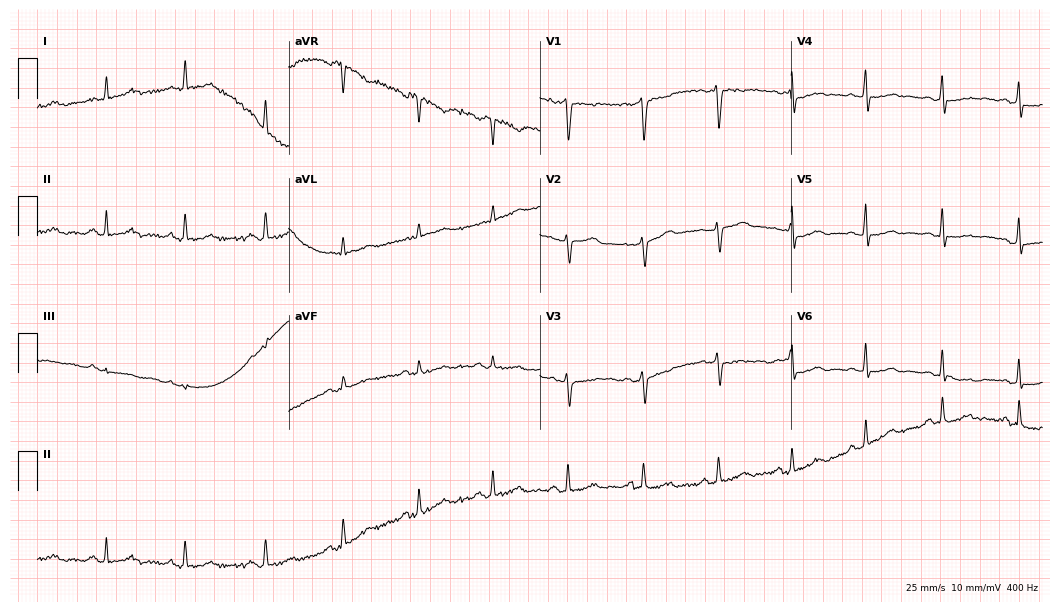
12-lead ECG from a female, 48 years old. Screened for six findings — first-degree AV block, right bundle branch block, left bundle branch block, sinus bradycardia, atrial fibrillation, sinus tachycardia — none is recorded. Only these six findings were labelled.